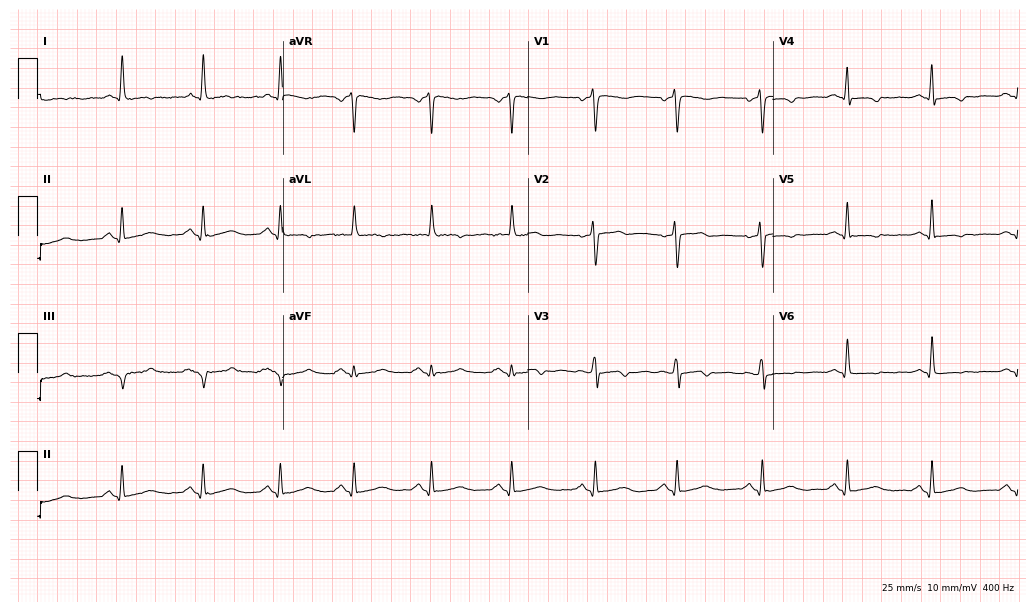
12-lead ECG from a 59-year-old female patient (10-second recording at 400 Hz). Recorded interpretation: within normal limits.